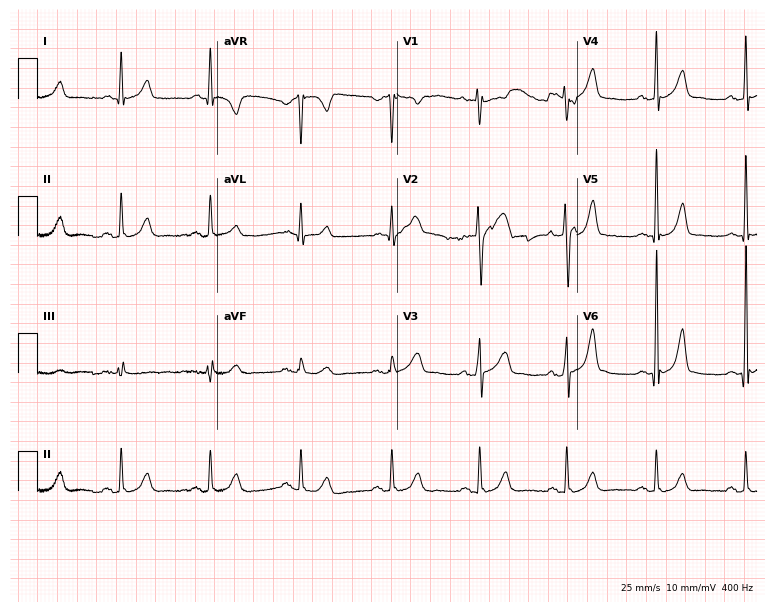
Resting 12-lead electrocardiogram. Patient: a man, 67 years old. None of these six findings is recorded: first-degree AV block, right bundle branch block, left bundle branch block, sinus bradycardia, atrial fibrillation, sinus tachycardia. Findings outside these six are not listed.